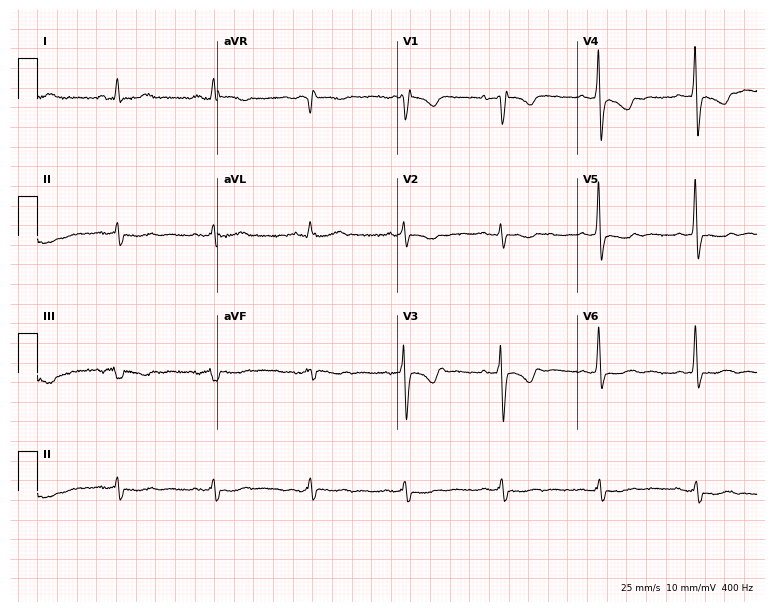
ECG — a 61-year-old woman. Screened for six findings — first-degree AV block, right bundle branch block, left bundle branch block, sinus bradycardia, atrial fibrillation, sinus tachycardia — none is recorded. Other findings, if any, are not listed.